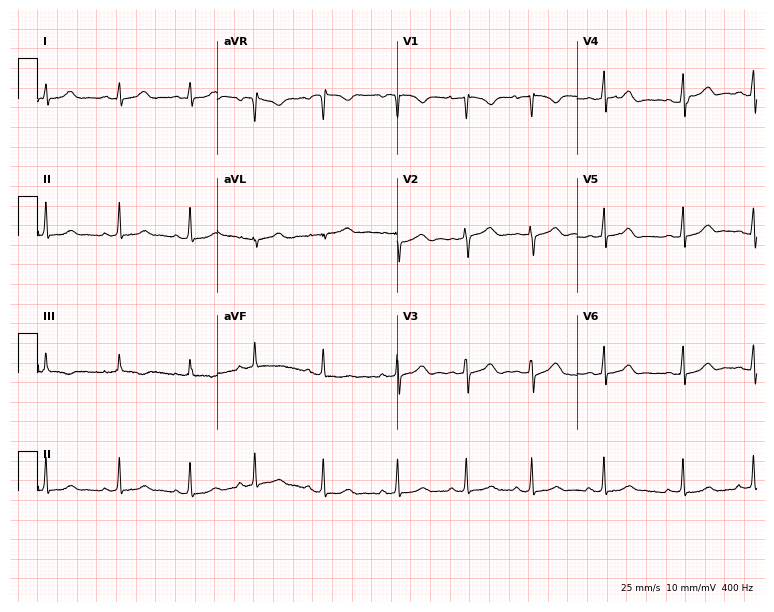
Standard 12-lead ECG recorded from a female patient, 20 years old (7.3-second recording at 400 Hz). Read as a normal ECG.